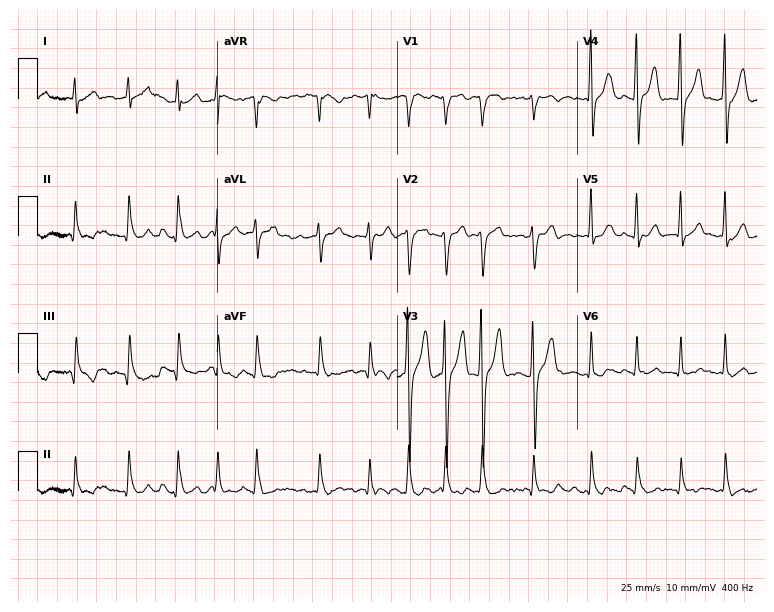
Electrocardiogram (7.3-second recording at 400 Hz), a 51-year-old man. Interpretation includes atrial fibrillation.